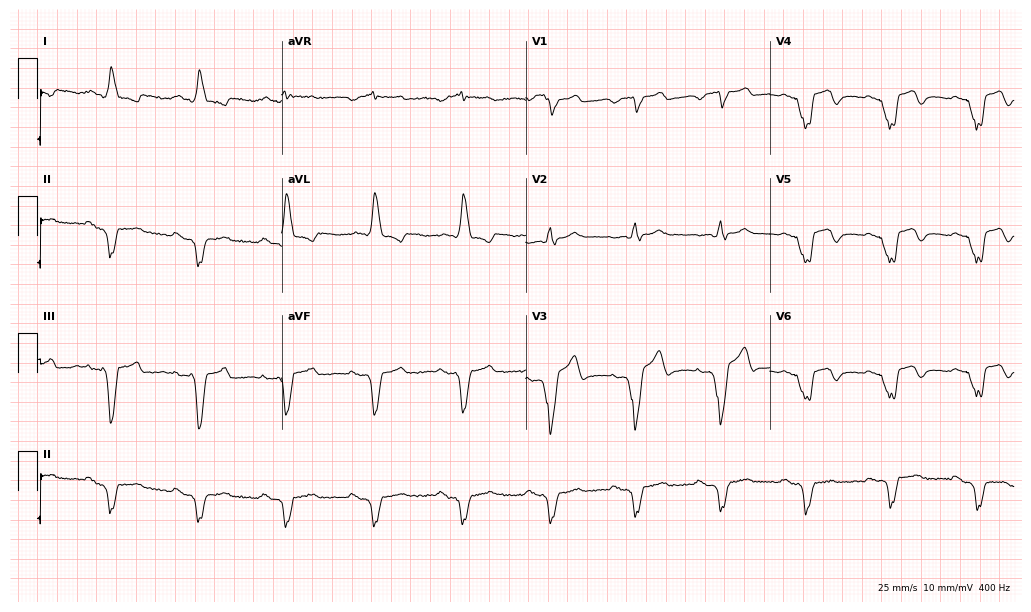
12-lead ECG from a man, 79 years old (10-second recording at 400 Hz). No first-degree AV block, right bundle branch block, left bundle branch block, sinus bradycardia, atrial fibrillation or sinus tachycardia recorded for this tracing. Only these six findings were labelled.